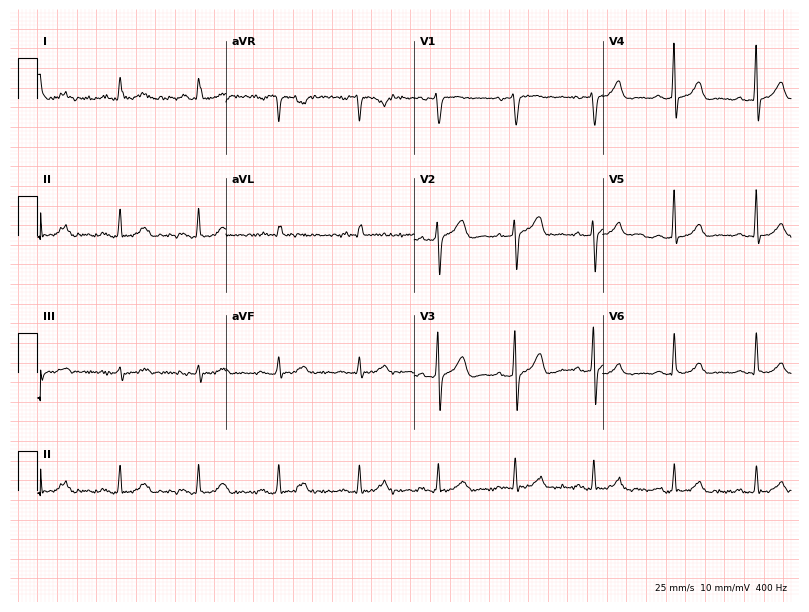
Resting 12-lead electrocardiogram. Patient: a 49-year-old man. None of these six findings is recorded: first-degree AV block, right bundle branch block, left bundle branch block, sinus bradycardia, atrial fibrillation, sinus tachycardia. Only these six findings were labelled.